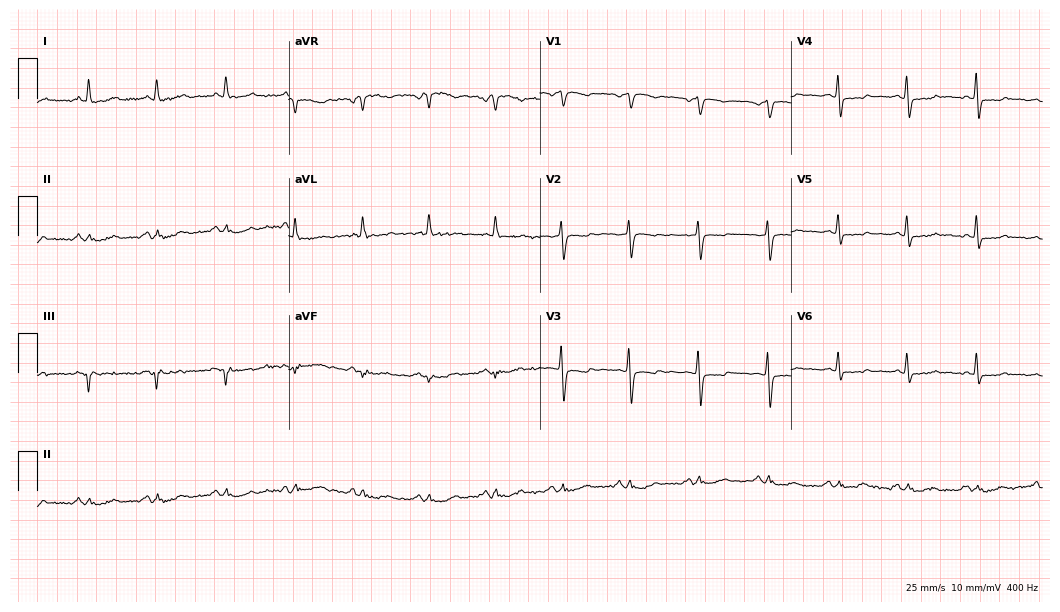
Resting 12-lead electrocardiogram. Patient: a female, 48 years old. None of these six findings is recorded: first-degree AV block, right bundle branch block, left bundle branch block, sinus bradycardia, atrial fibrillation, sinus tachycardia.